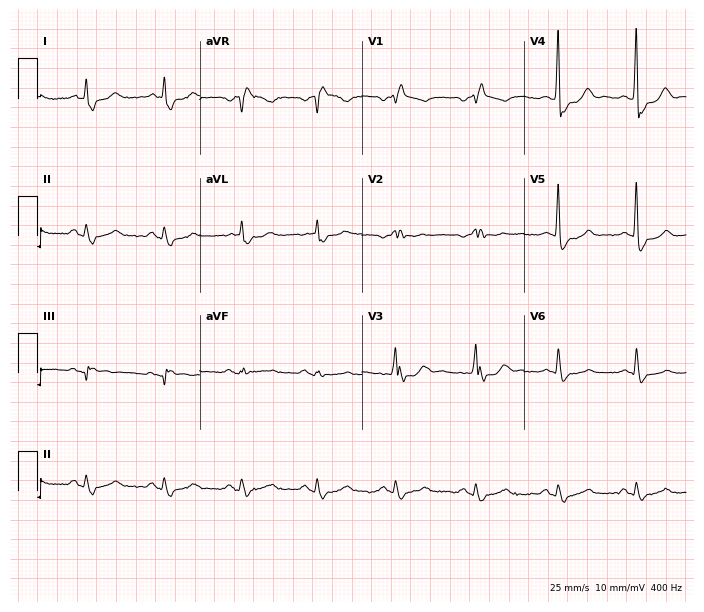
12-lead ECG from a man, 71 years old. Findings include right bundle branch block.